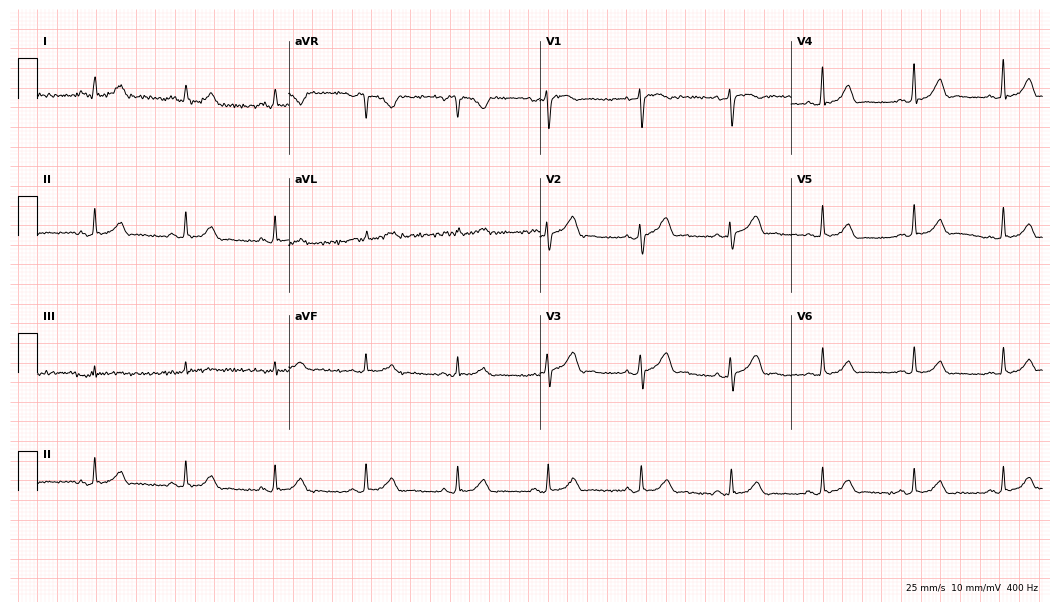
12-lead ECG (10.2-second recording at 400 Hz) from a 61-year-old woman. Labelled as a normal ECG.